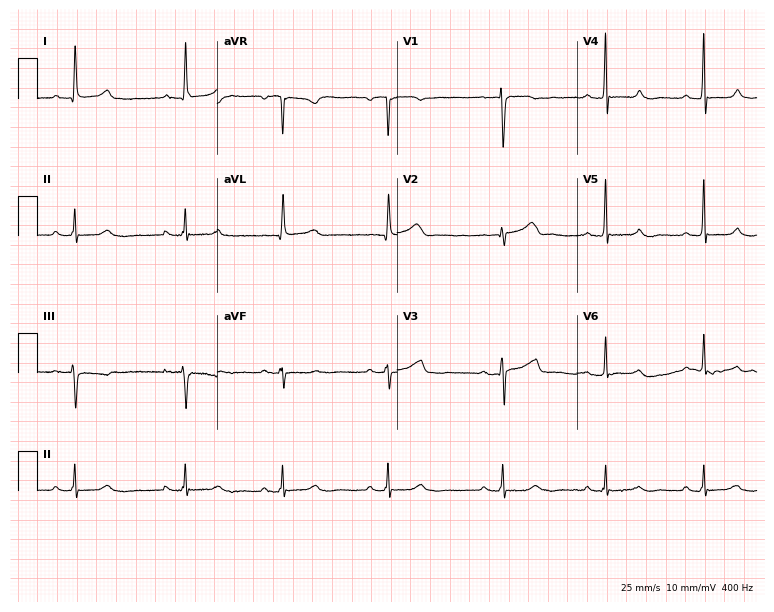
12-lead ECG (7.3-second recording at 400 Hz) from a 60-year-old female patient. Labelled as a normal ECG.